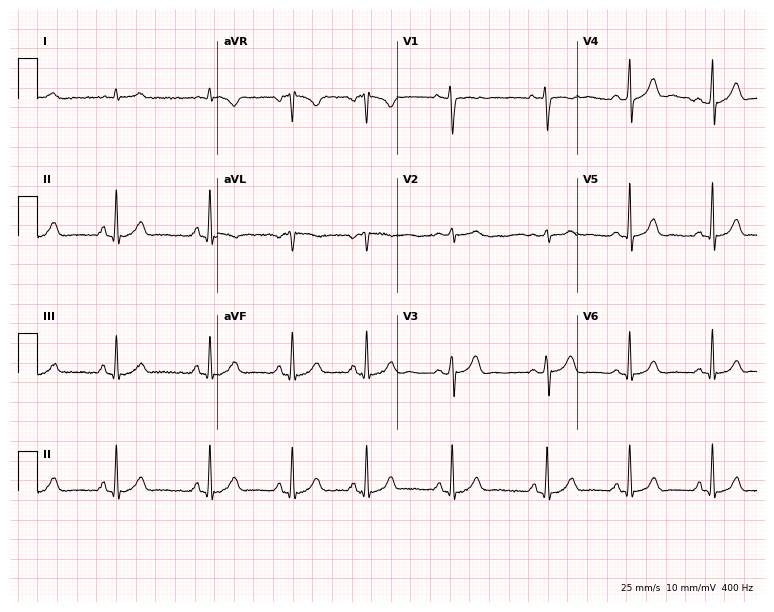
ECG — a 22-year-old woman. Screened for six findings — first-degree AV block, right bundle branch block (RBBB), left bundle branch block (LBBB), sinus bradycardia, atrial fibrillation (AF), sinus tachycardia — none is recorded. Findings outside these six are not listed.